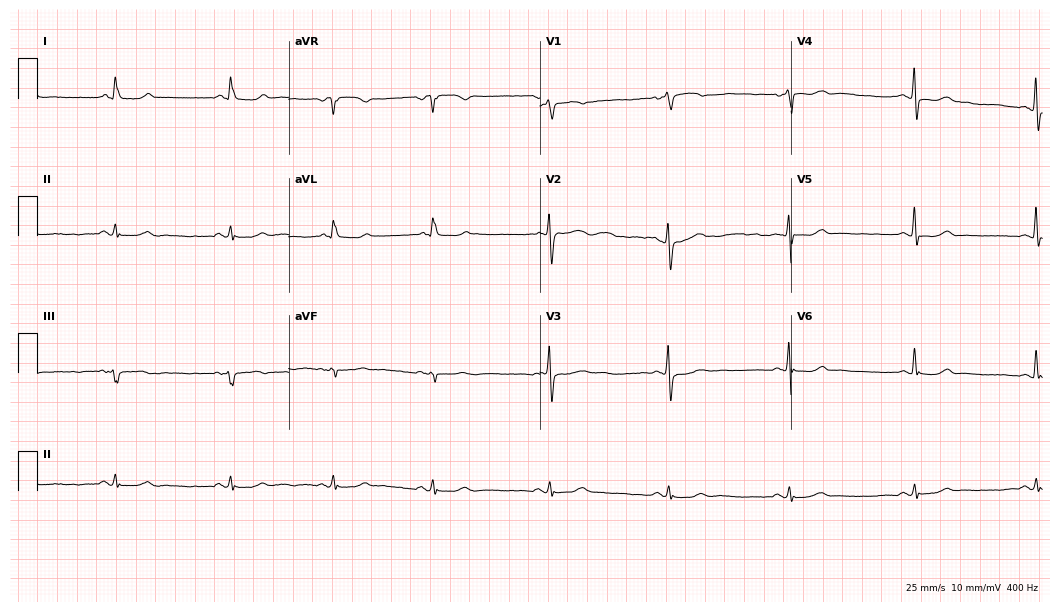
Standard 12-lead ECG recorded from a 59-year-old woman (10.2-second recording at 400 Hz). The tracing shows sinus bradycardia (a sinus rate of 50 beats per minute or less).